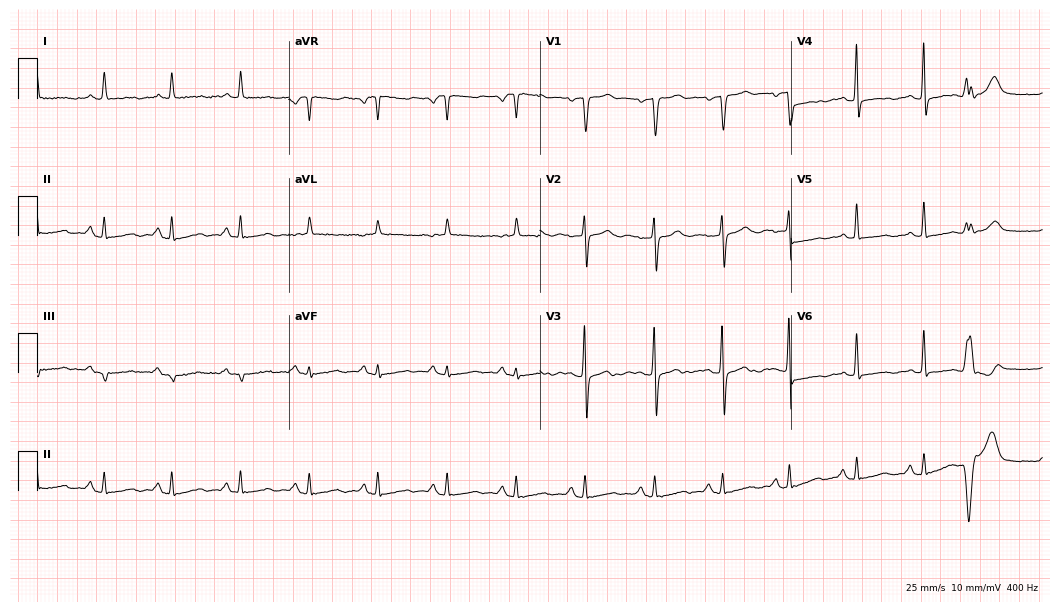
ECG (10.2-second recording at 400 Hz) — a woman, 67 years old. Screened for six findings — first-degree AV block, right bundle branch block (RBBB), left bundle branch block (LBBB), sinus bradycardia, atrial fibrillation (AF), sinus tachycardia — none is recorded. Other findings, if any, are not listed.